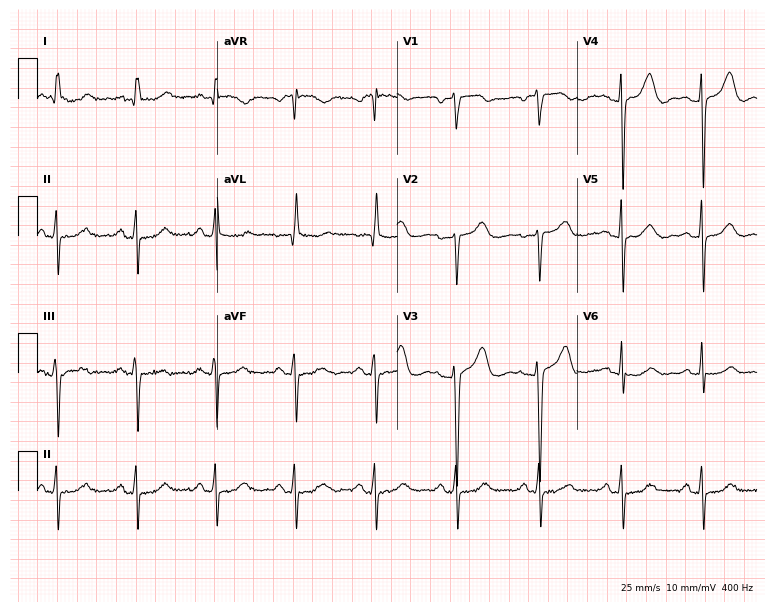
12-lead ECG from an 81-year-old woman. No first-degree AV block, right bundle branch block (RBBB), left bundle branch block (LBBB), sinus bradycardia, atrial fibrillation (AF) or sinus tachycardia recorded for this tracing.